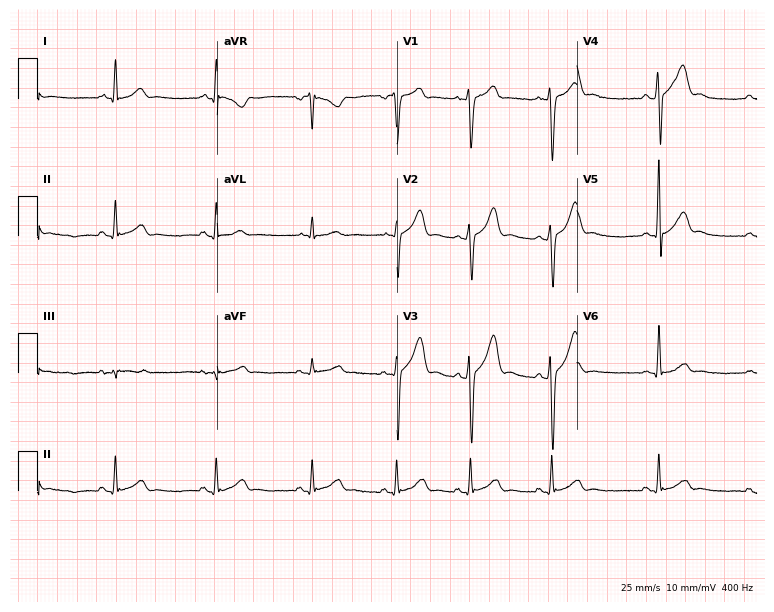
12-lead ECG from an 18-year-old male. Labelled as a normal ECG.